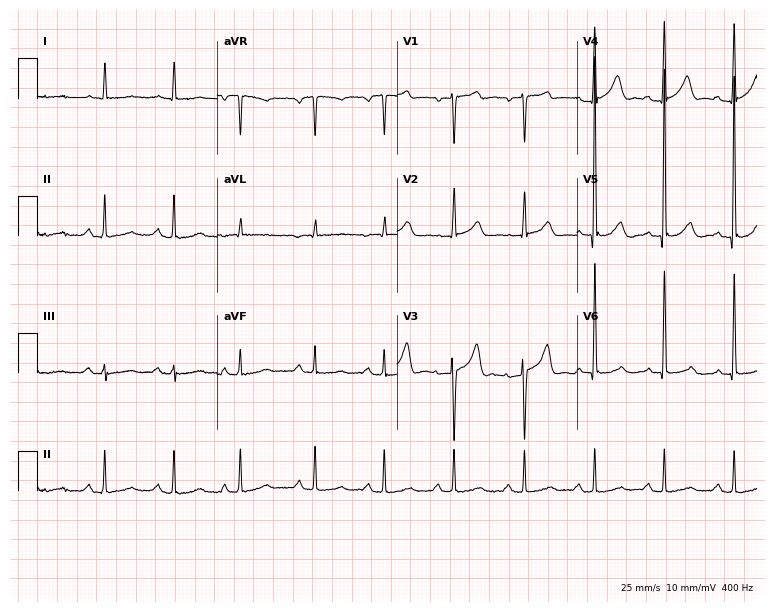
12-lead ECG from an 82-year-old male patient. No first-degree AV block, right bundle branch block (RBBB), left bundle branch block (LBBB), sinus bradycardia, atrial fibrillation (AF) or sinus tachycardia recorded for this tracing. Findings outside these six are not listed.